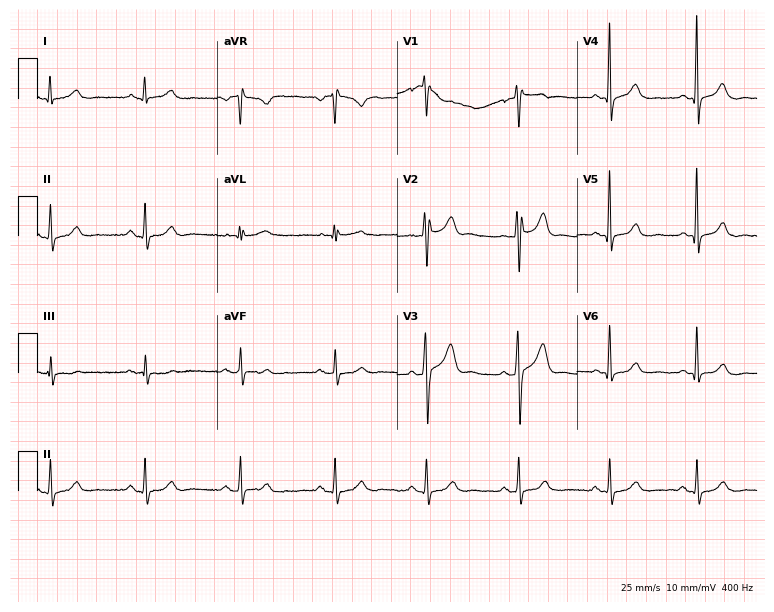
Resting 12-lead electrocardiogram. Patient: a male, 41 years old. None of these six findings is recorded: first-degree AV block, right bundle branch block (RBBB), left bundle branch block (LBBB), sinus bradycardia, atrial fibrillation (AF), sinus tachycardia. Only these six findings were labelled.